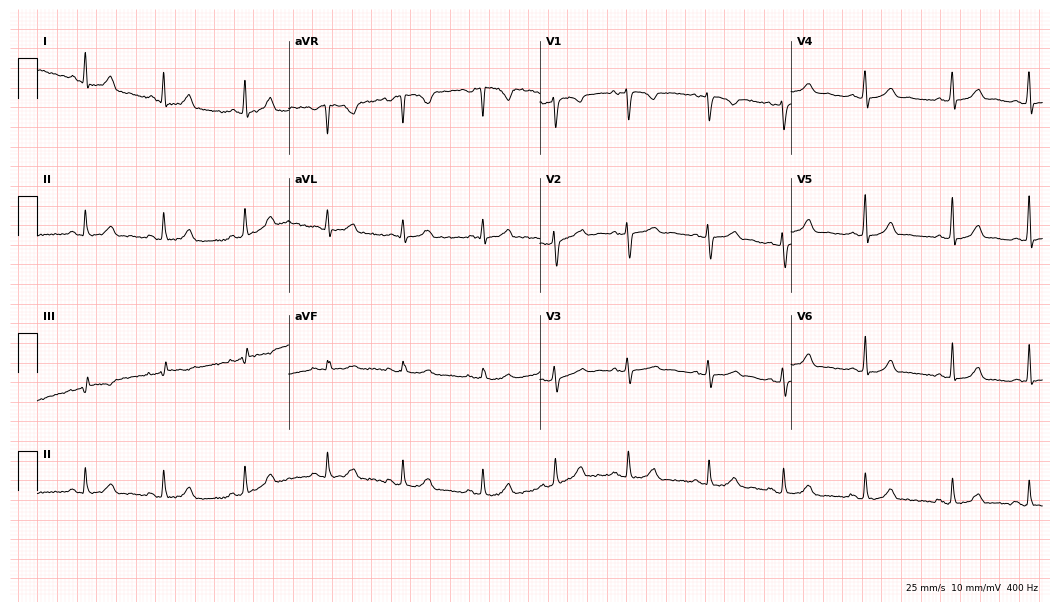
Standard 12-lead ECG recorded from a 20-year-old woman (10.2-second recording at 400 Hz). Read as a normal ECG.